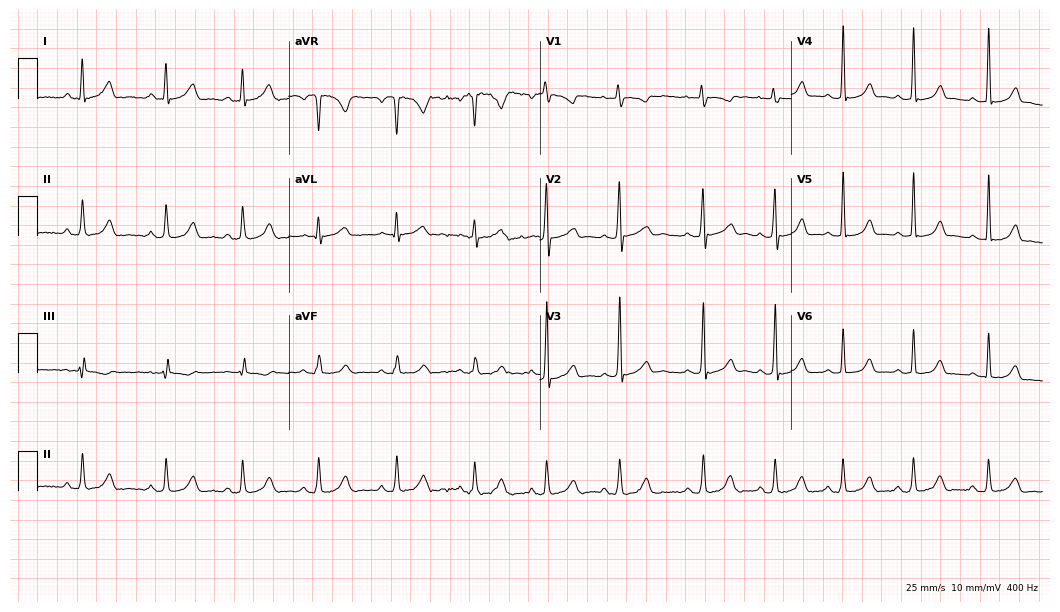
12-lead ECG from a 17-year-old female patient. Screened for six findings — first-degree AV block, right bundle branch block, left bundle branch block, sinus bradycardia, atrial fibrillation, sinus tachycardia — none is recorded. Only these six findings were labelled.